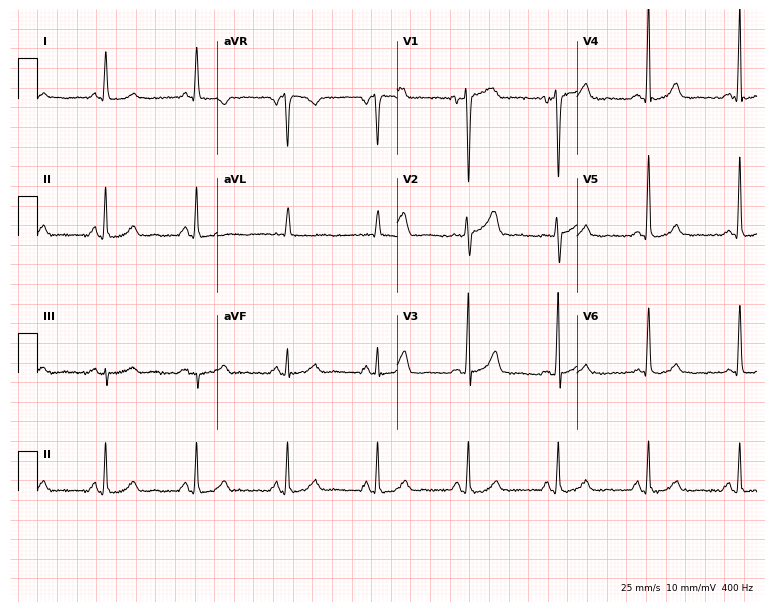
Resting 12-lead electrocardiogram (7.3-second recording at 400 Hz). Patient: a 69-year-old woman. None of these six findings is recorded: first-degree AV block, right bundle branch block, left bundle branch block, sinus bradycardia, atrial fibrillation, sinus tachycardia. Only these six findings were labelled.